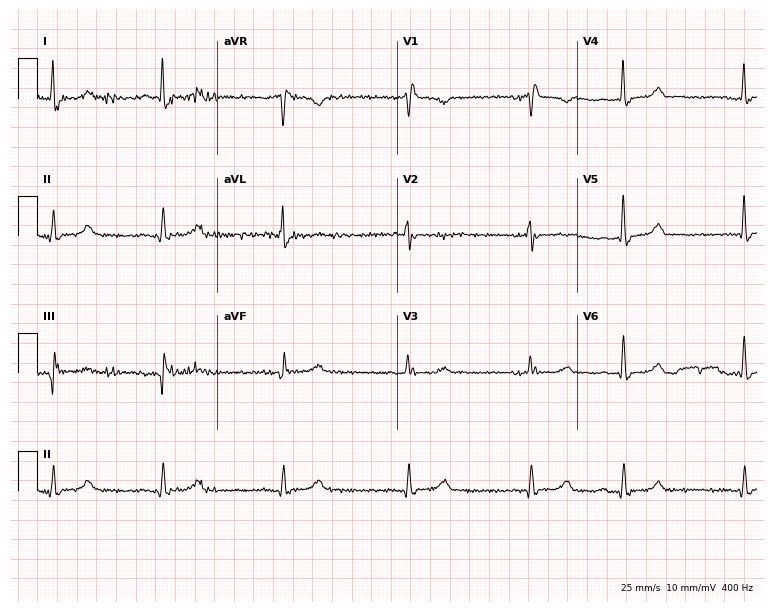
Standard 12-lead ECG recorded from a 74-year-old female. None of these six findings is recorded: first-degree AV block, right bundle branch block, left bundle branch block, sinus bradycardia, atrial fibrillation, sinus tachycardia.